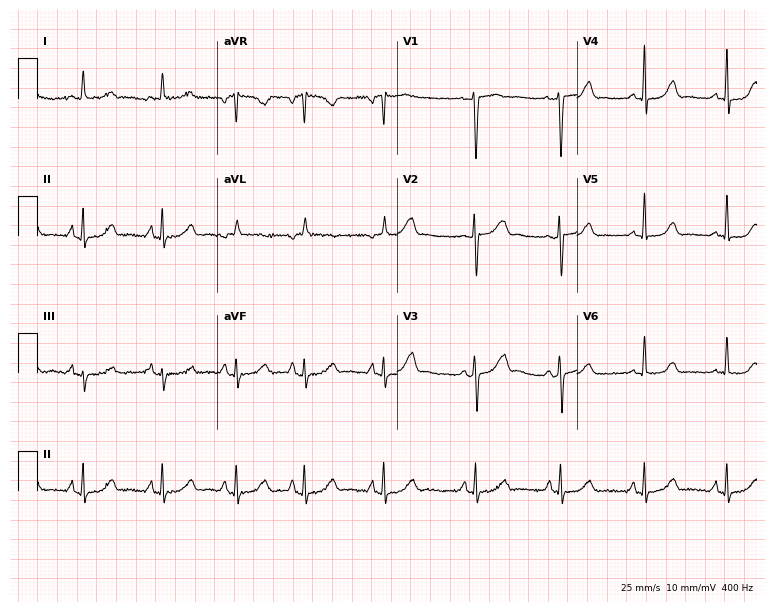
12-lead ECG from a female patient, 56 years old. Labelled as a normal ECG.